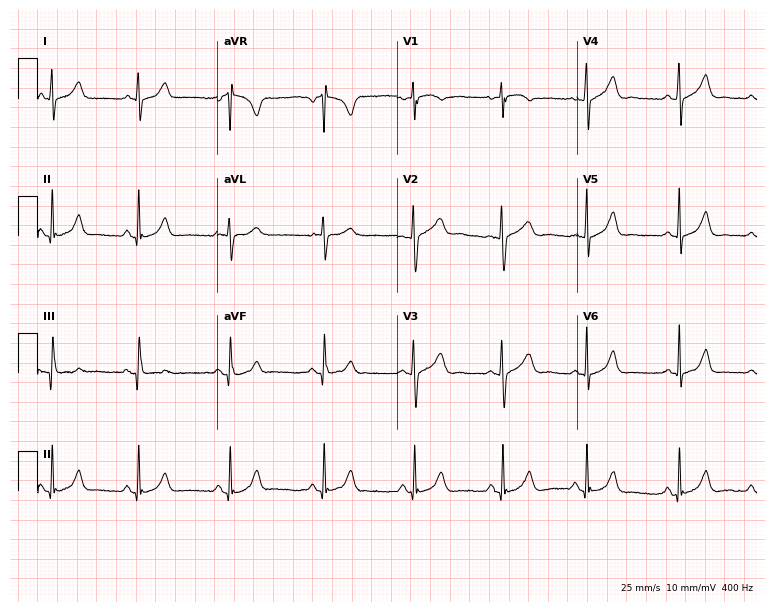
Electrocardiogram, a female patient, 20 years old. Overall reading on record: normal ECG.